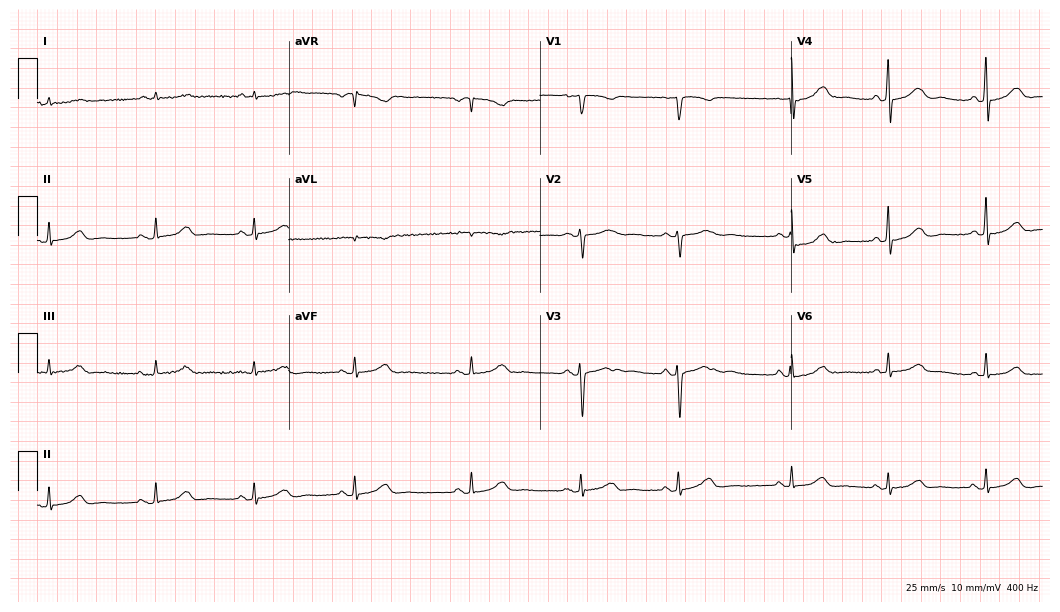
Standard 12-lead ECG recorded from a 61-year-old female (10.2-second recording at 400 Hz). Read as a normal ECG.